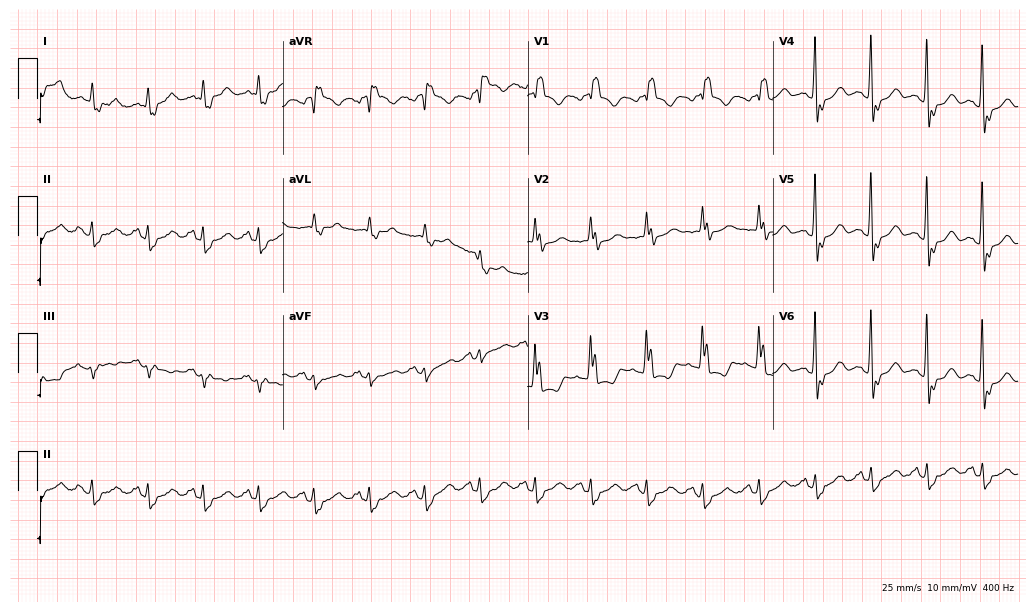
12-lead ECG (10-second recording at 400 Hz) from a female patient, 76 years old. Screened for six findings — first-degree AV block, right bundle branch block, left bundle branch block, sinus bradycardia, atrial fibrillation, sinus tachycardia — none is recorded. Other findings, if any, are not listed.